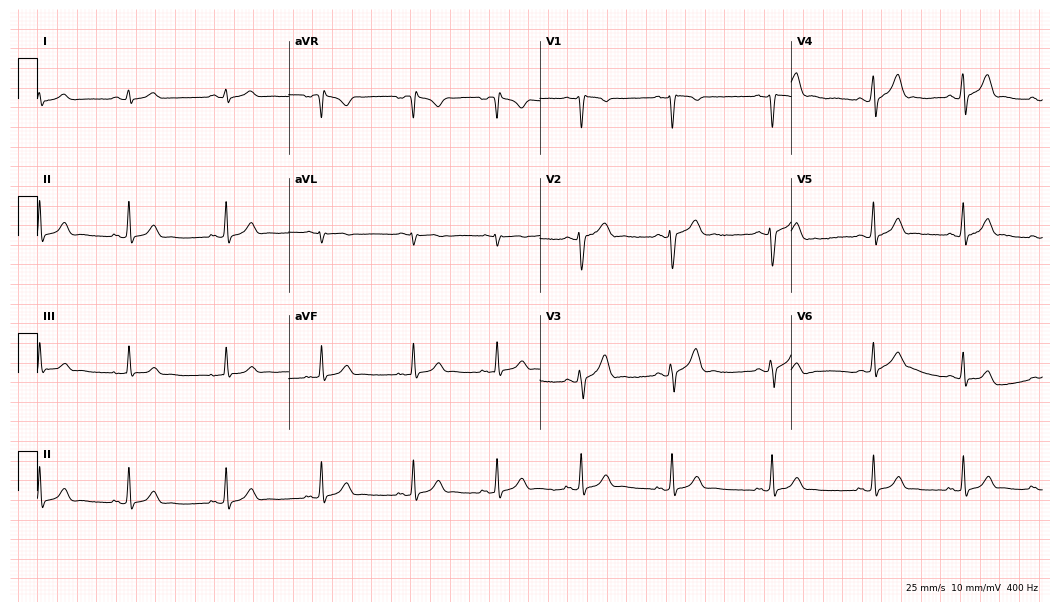
12-lead ECG from a 29-year-old male patient. Recorded interpretation: within normal limits.